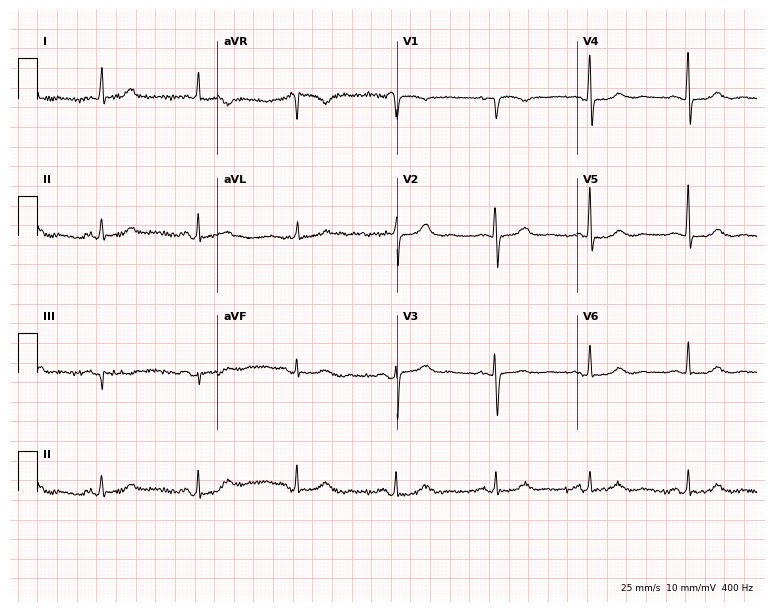
Resting 12-lead electrocardiogram. Patient: a woman, 78 years old. Read as a normal ECG.